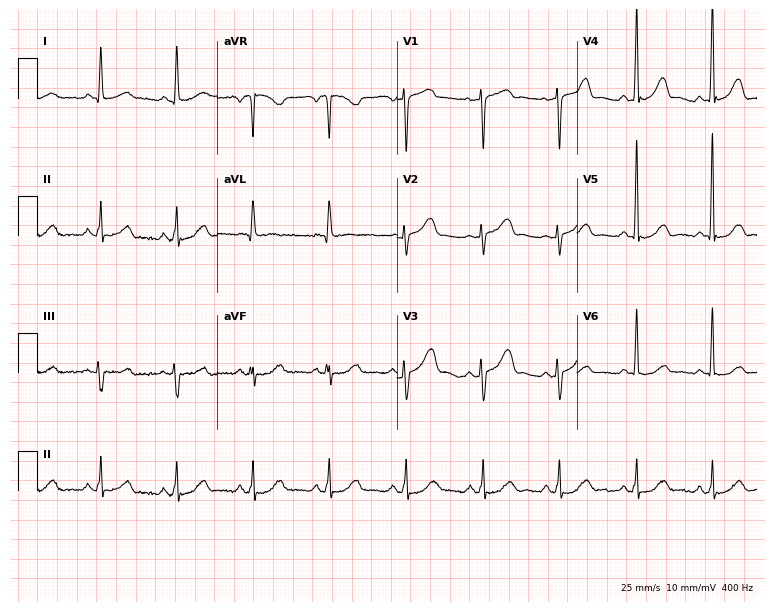
12-lead ECG from a female, 64 years old. Screened for six findings — first-degree AV block, right bundle branch block, left bundle branch block, sinus bradycardia, atrial fibrillation, sinus tachycardia — none is recorded.